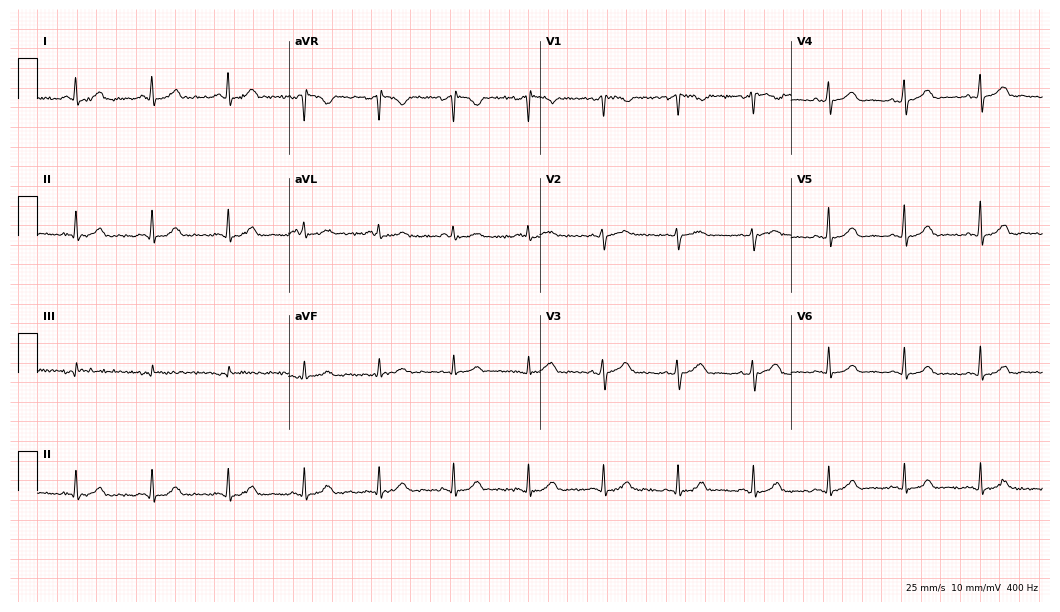
ECG (10.2-second recording at 400 Hz) — a woman, 48 years old. Labelled as a normal ECG.